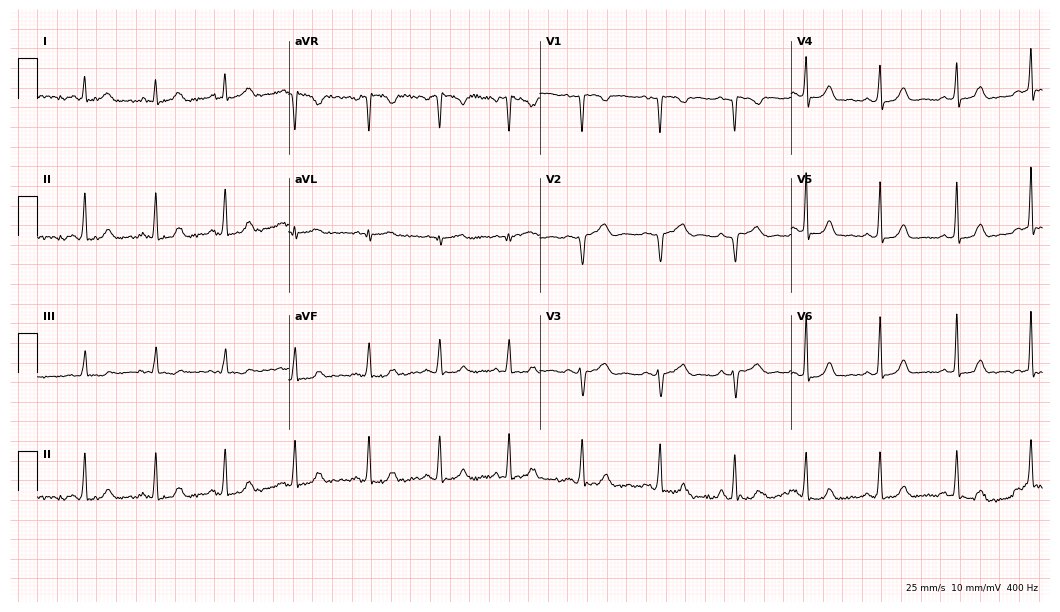
ECG — a female, 27 years old. Screened for six findings — first-degree AV block, right bundle branch block, left bundle branch block, sinus bradycardia, atrial fibrillation, sinus tachycardia — none is recorded. Findings outside these six are not listed.